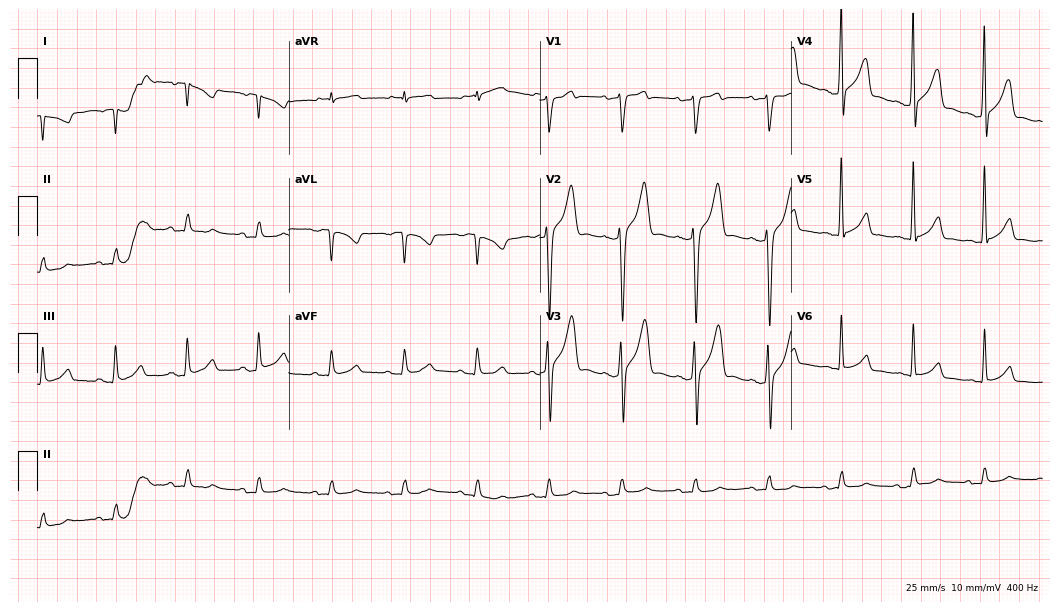
12-lead ECG (10.2-second recording at 400 Hz) from a 26-year-old male. Screened for six findings — first-degree AV block, right bundle branch block, left bundle branch block, sinus bradycardia, atrial fibrillation, sinus tachycardia — none is recorded. Other findings, if any, are not listed.